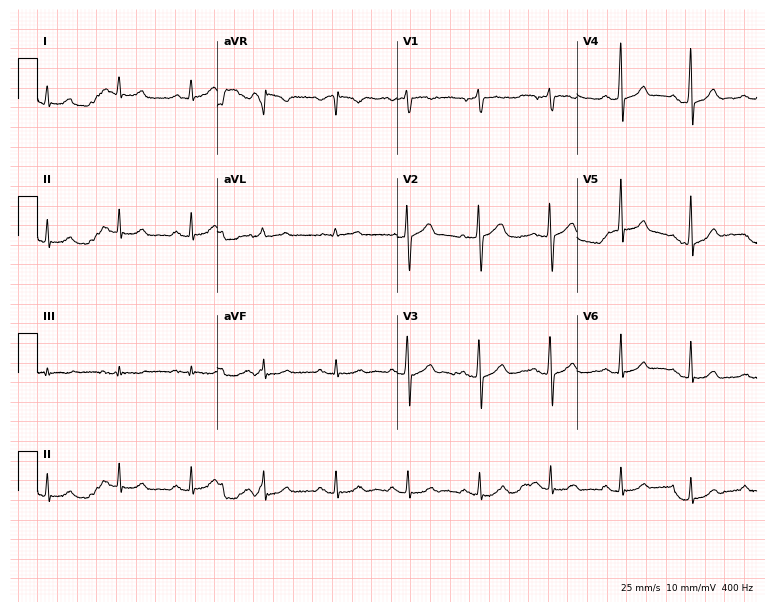
12-lead ECG from a male patient, 56 years old (7.3-second recording at 400 Hz). Recorded interpretation: within normal limits.